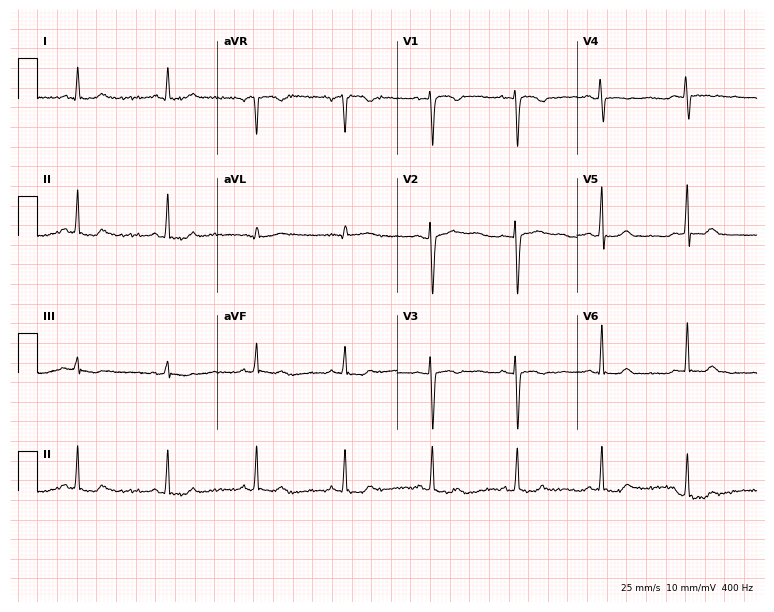
Electrocardiogram, a female patient, 52 years old. Of the six screened findings (first-degree AV block, right bundle branch block, left bundle branch block, sinus bradycardia, atrial fibrillation, sinus tachycardia), none is recorded.